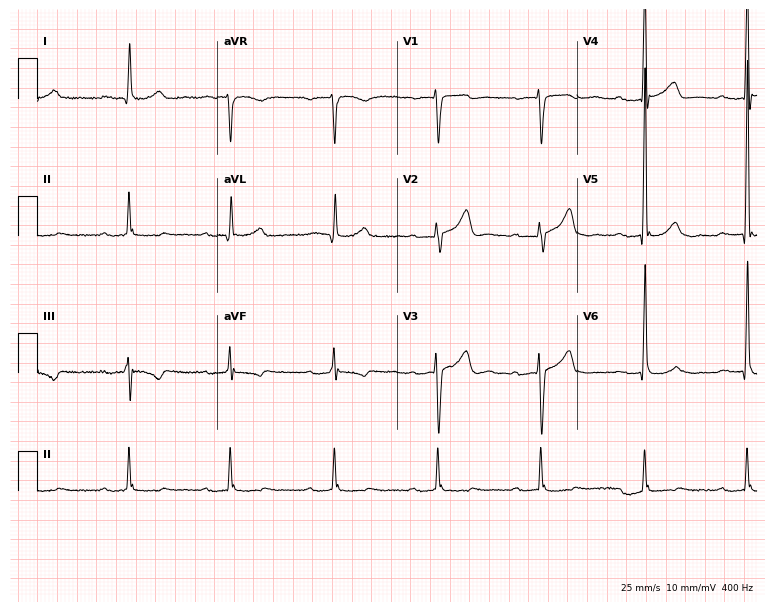
ECG (7.3-second recording at 400 Hz) — a 69-year-old man. Findings include first-degree AV block.